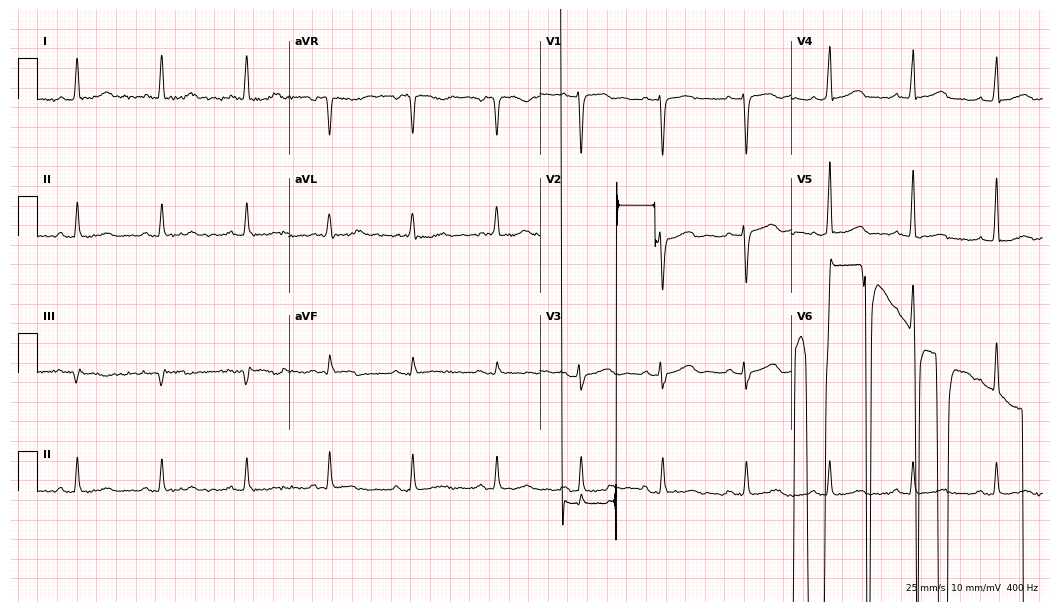
ECG — a woman, 49 years old. Screened for six findings — first-degree AV block, right bundle branch block (RBBB), left bundle branch block (LBBB), sinus bradycardia, atrial fibrillation (AF), sinus tachycardia — none is recorded.